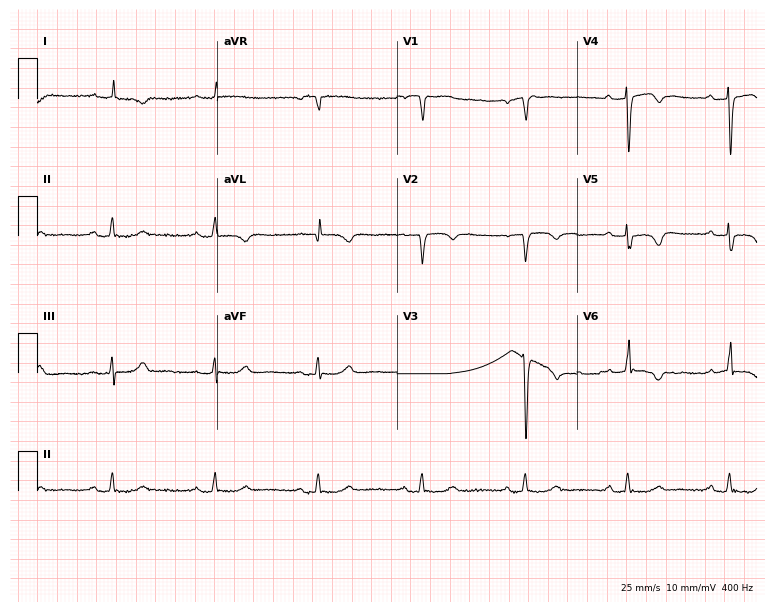
12-lead ECG (7.3-second recording at 400 Hz) from an 83-year-old man. Screened for six findings — first-degree AV block, right bundle branch block, left bundle branch block, sinus bradycardia, atrial fibrillation, sinus tachycardia — none is recorded.